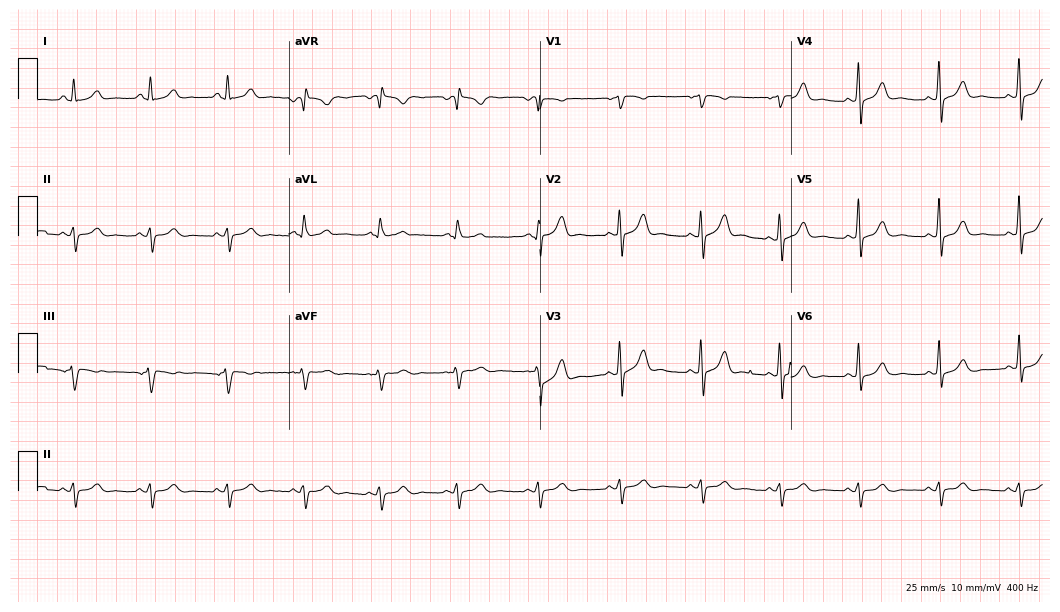
Standard 12-lead ECG recorded from a 43-year-old female. None of these six findings is recorded: first-degree AV block, right bundle branch block, left bundle branch block, sinus bradycardia, atrial fibrillation, sinus tachycardia. Other findings, if any, are not listed.